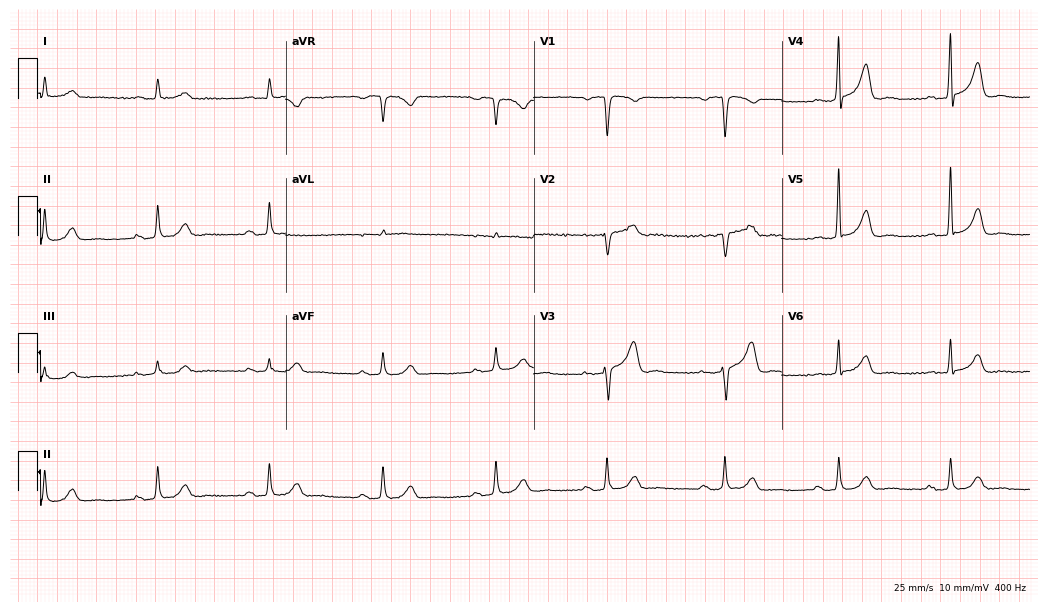
ECG — a 77-year-old male patient. Findings include first-degree AV block.